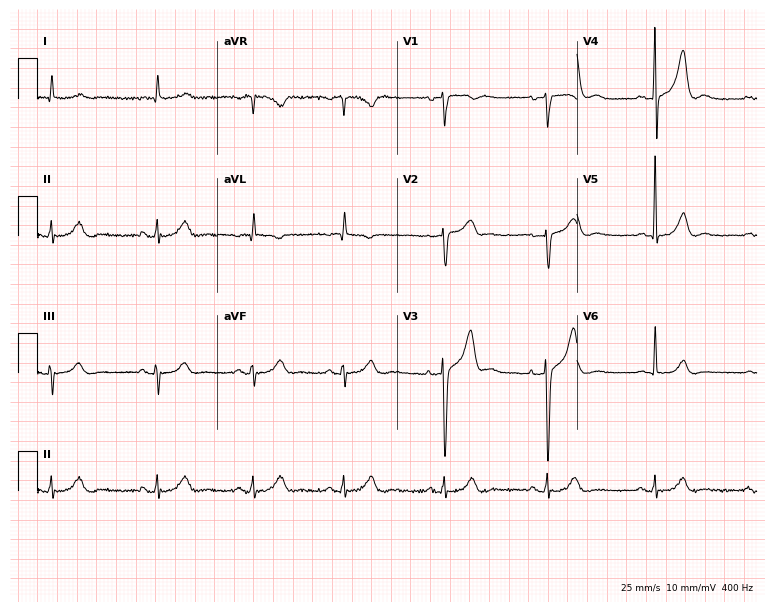
Standard 12-lead ECG recorded from a male patient, 73 years old (7.3-second recording at 400 Hz). Read as a normal ECG.